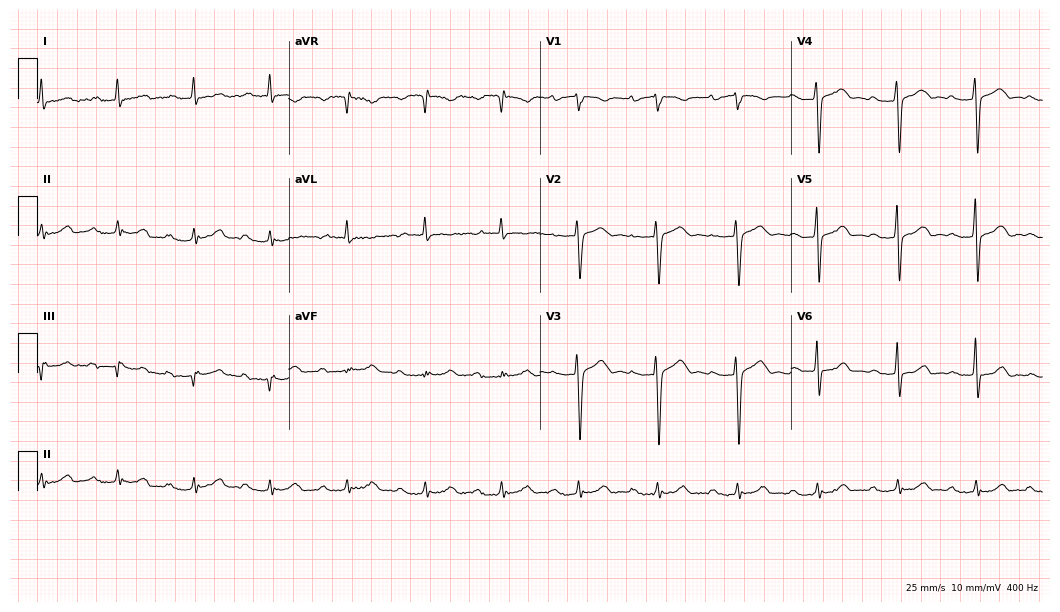
12-lead ECG (10.2-second recording at 400 Hz) from a male patient, 71 years old. Findings include first-degree AV block.